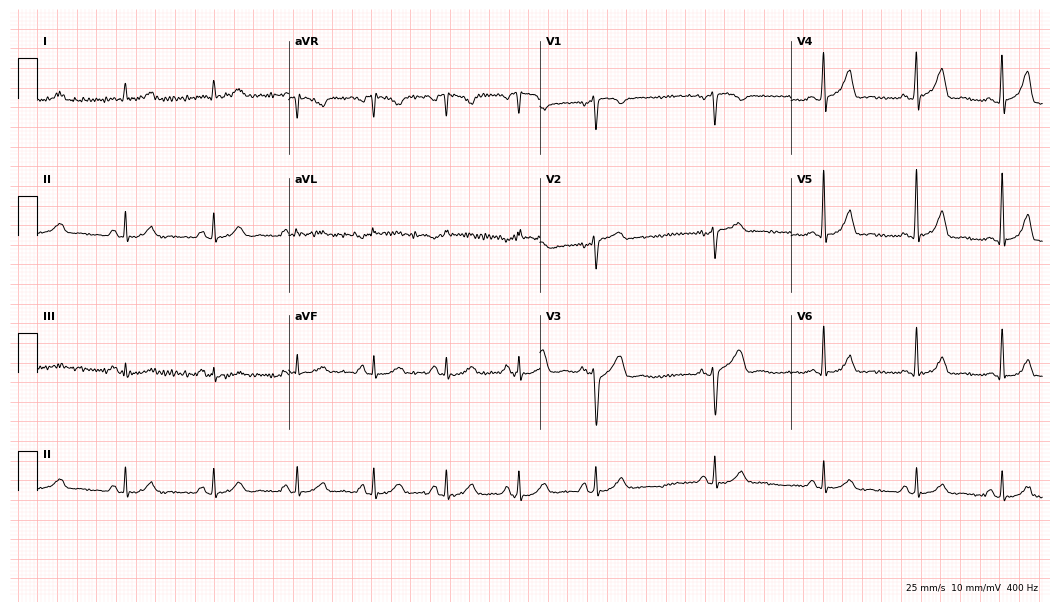
Standard 12-lead ECG recorded from a male patient, 54 years old (10.2-second recording at 400 Hz). None of these six findings is recorded: first-degree AV block, right bundle branch block, left bundle branch block, sinus bradycardia, atrial fibrillation, sinus tachycardia.